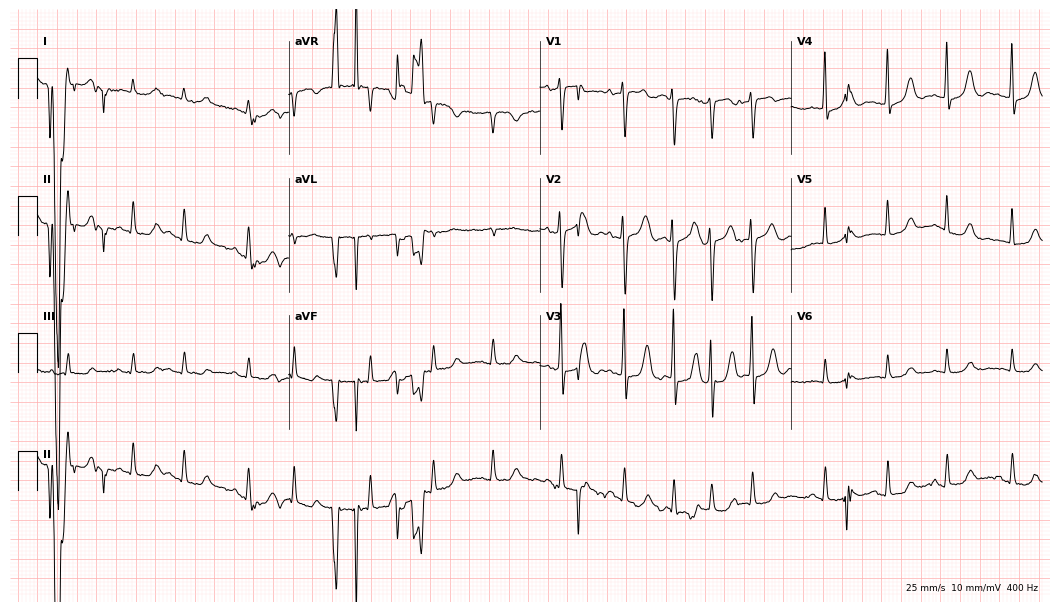
Resting 12-lead electrocardiogram. Patient: a female, 78 years old. None of these six findings is recorded: first-degree AV block, right bundle branch block, left bundle branch block, sinus bradycardia, atrial fibrillation, sinus tachycardia. Other findings, if any, are not listed.